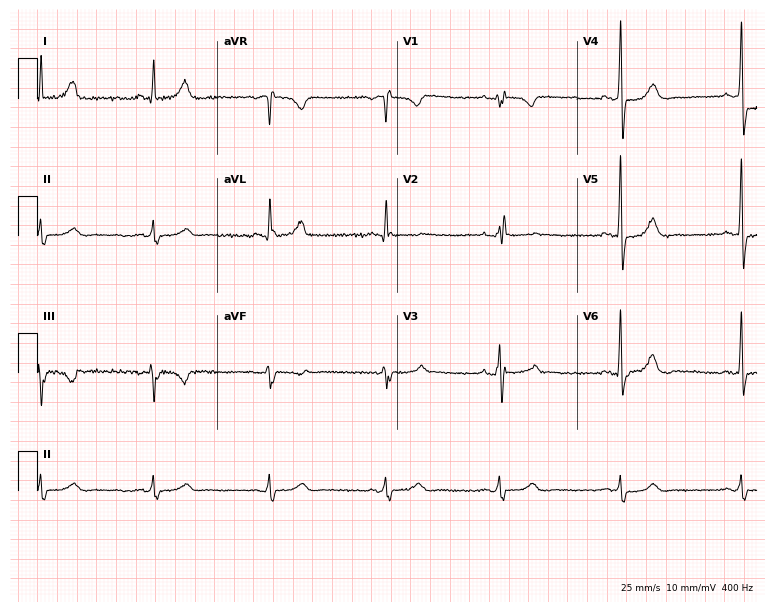
ECG (7.3-second recording at 400 Hz) — a man, 77 years old. Screened for six findings — first-degree AV block, right bundle branch block, left bundle branch block, sinus bradycardia, atrial fibrillation, sinus tachycardia — none is recorded.